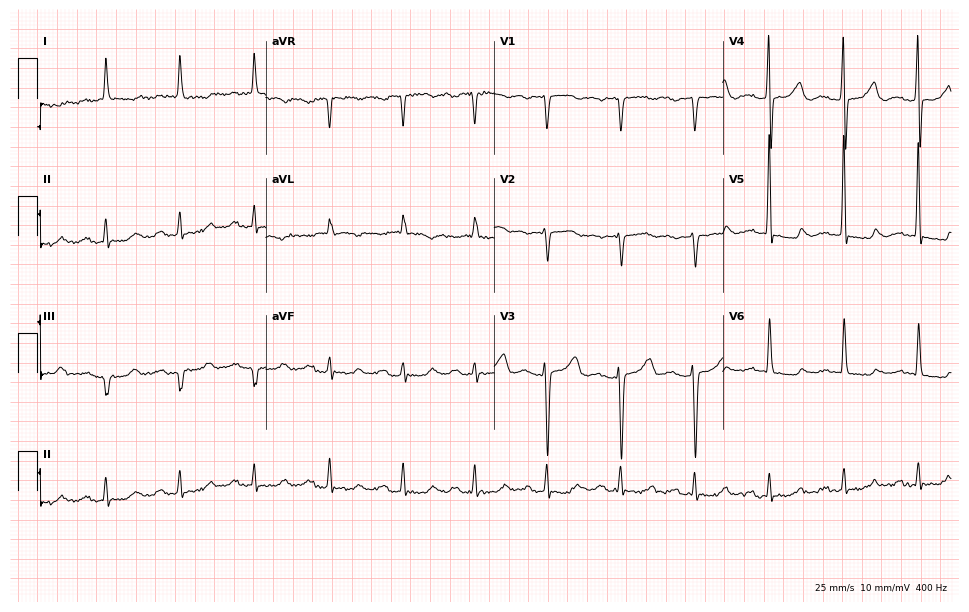
12-lead ECG from a female, 83 years old. Findings include first-degree AV block.